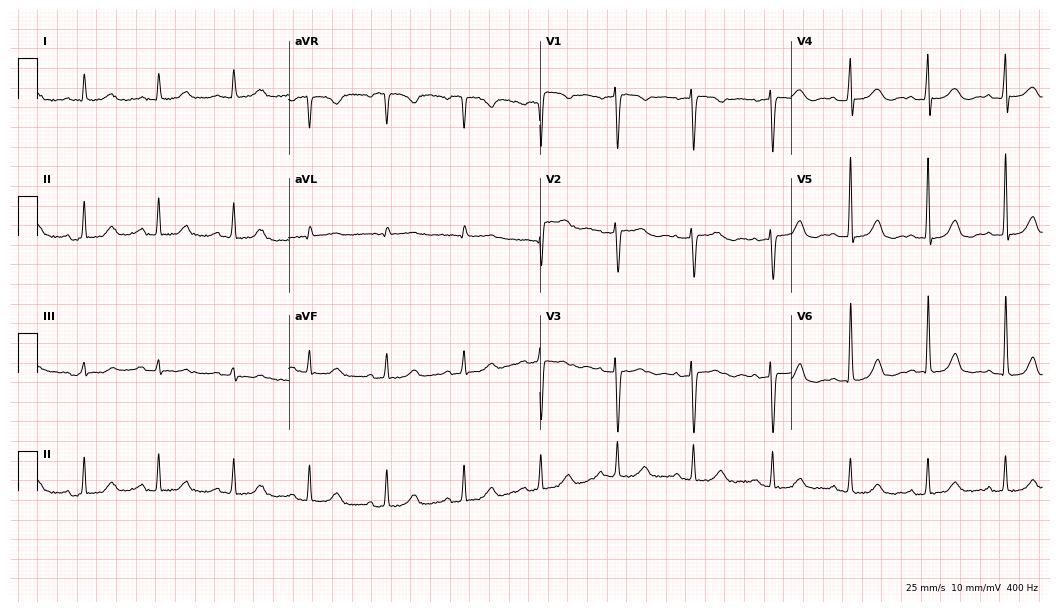
Electrocardiogram, a 76-year-old female. Overall reading on record: normal ECG.